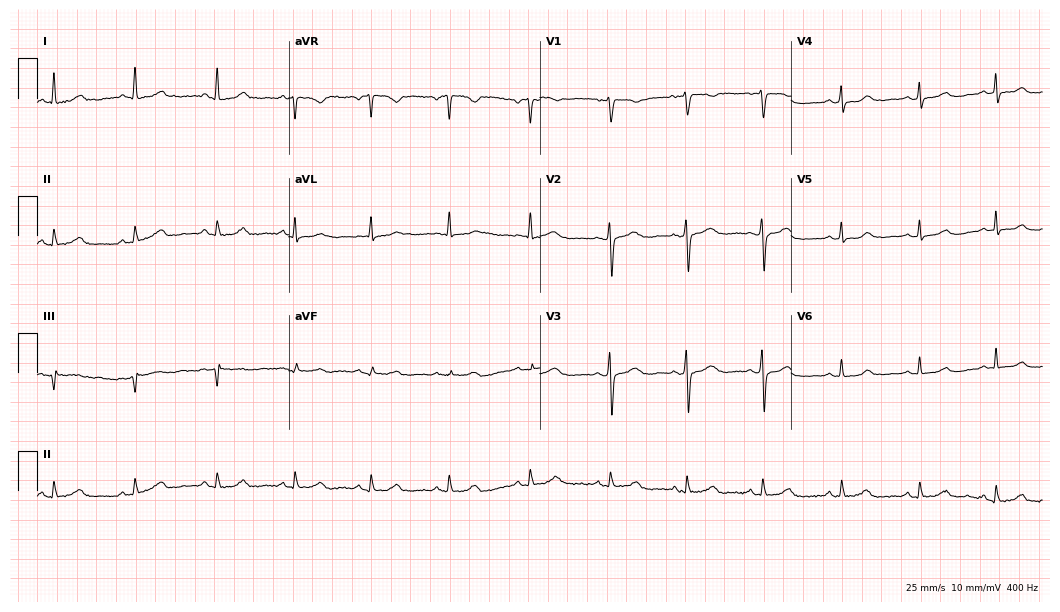
12-lead ECG from a woman, 47 years old. Screened for six findings — first-degree AV block, right bundle branch block, left bundle branch block, sinus bradycardia, atrial fibrillation, sinus tachycardia — none is recorded.